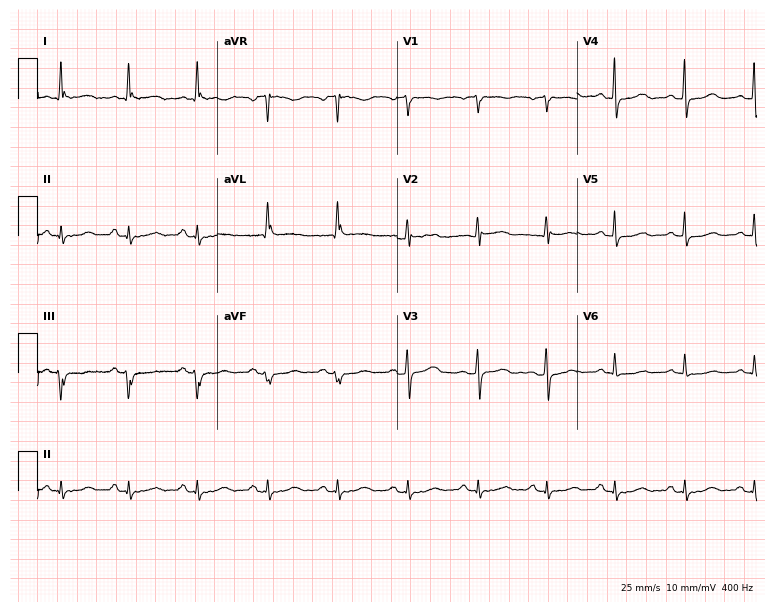
Resting 12-lead electrocardiogram (7.3-second recording at 400 Hz). Patient: a female, 50 years old. Read as a normal ECG.